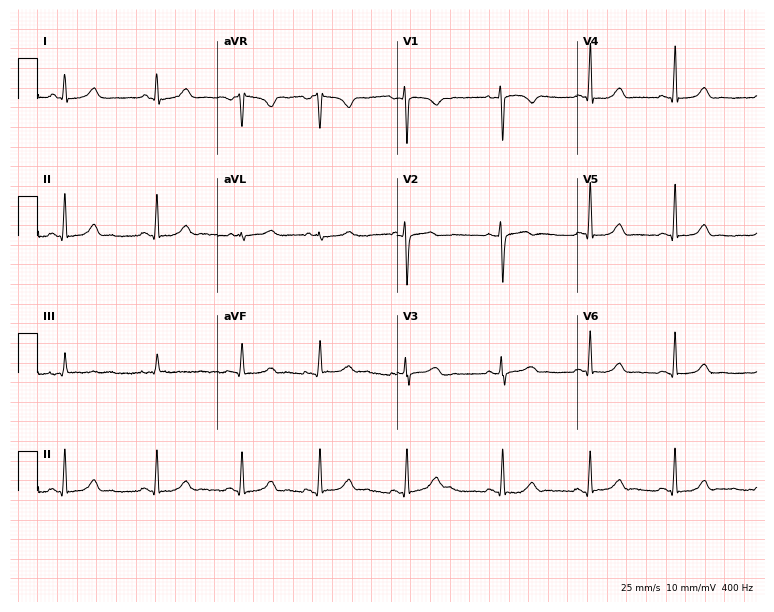
ECG (7.3-second recording at 400 Hz) — a 29-year-old woman. Screened for six findings — first-degree AV block, right bundle branch block, left bundle branch block, sinus bradycardia, atrial fibrillation, sinus tachycardia — none is recorded. Other findings, if any, are not listed.